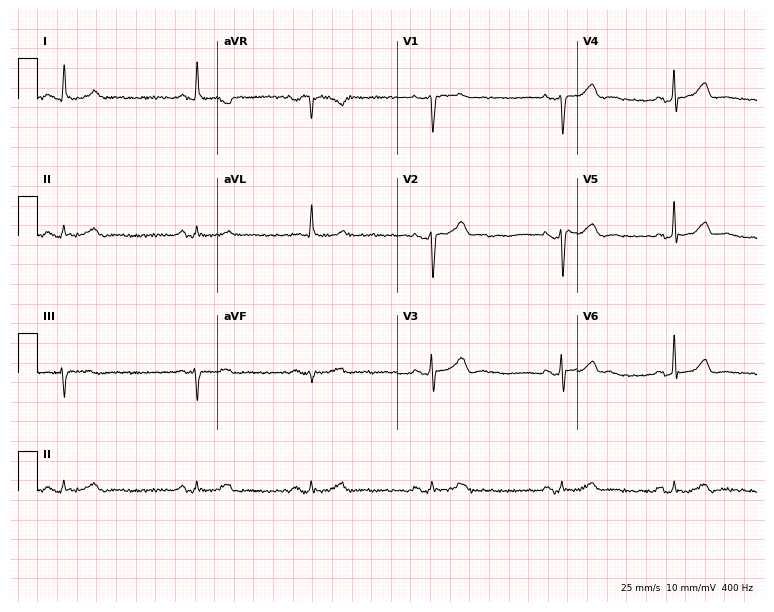
Resting 12-lead electrocardiogram (7.3-second recording at 400 Hz). Patient: a female, 39 years old. None of these six findings is recorded: first-degree AV block, right bundle branch block (RBBB), left bundle branch block (LBBB), sinus bradycardia, atrial fibrillation (AF), sinus tachycardia.